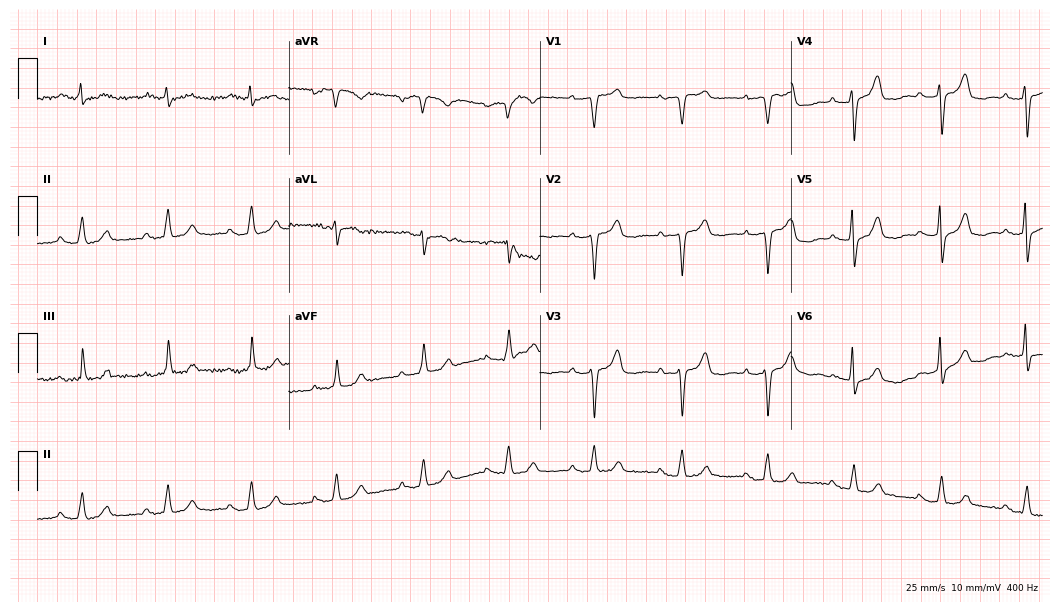
12-lead ECG from a woman, 83 years old. Screened for six findings — first-degree AV block, right bundle branch block, left bundle branch block, sinus bradycardia, atrial fibrillation, sinus tachycardia — none is recorded. Findings outside these six are not listed.